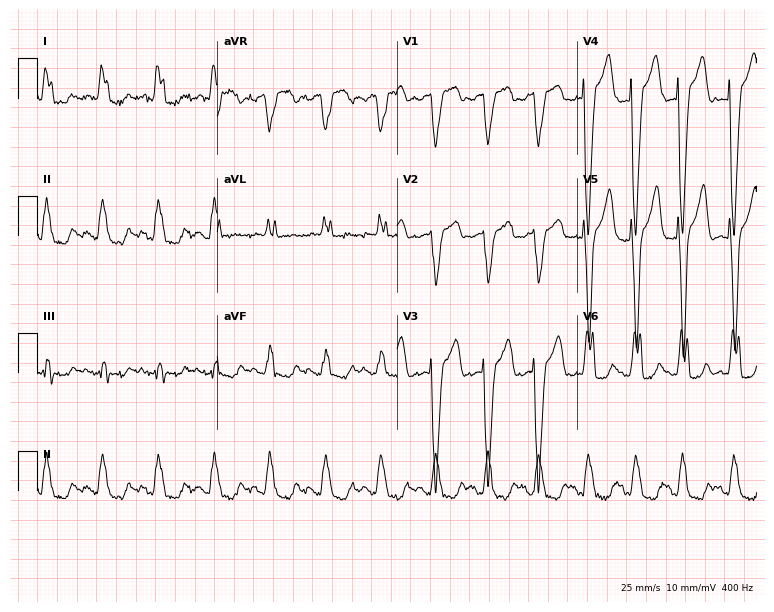
12-lead ECG from a female, 79 years old. Shows left bundle branch block (LBBB), sinus tachycardia (a sinus rate of 100 beats per minute or more).